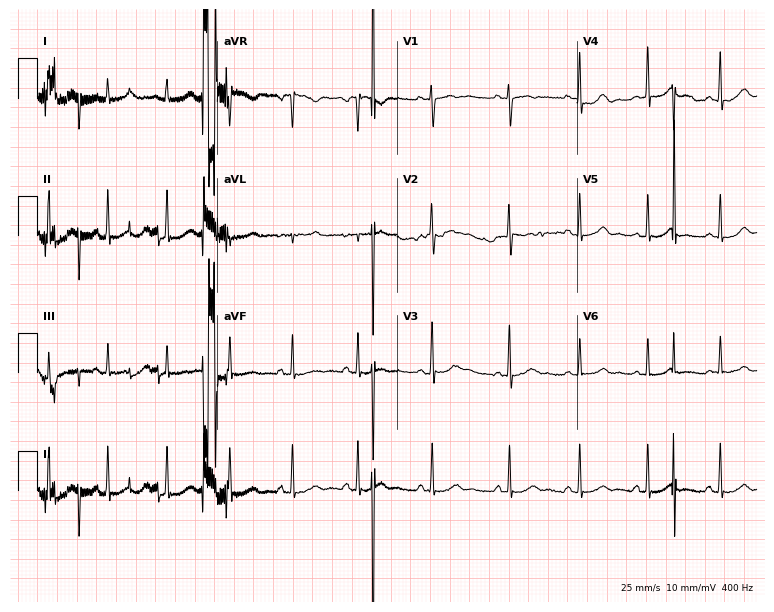
12-lead ECG (7.3-second recording at 400 Hz) from a female patient, 25 years old. Screened for six findings — first-degree AV block, right bundle branch block (RBBB), left bundle branch block (LBBB), sinus bradycardia, atrial fibrillation (AF), sinus tachycardia — none is recorded.